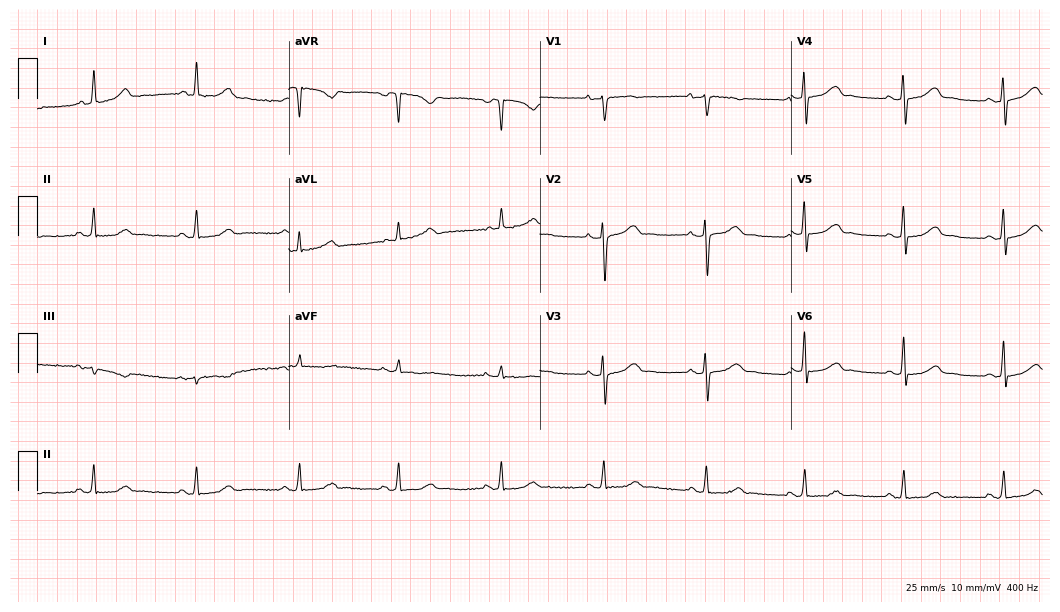
12-lead ECG from a woman, 48 years old (10.2-second recording at 400 Hz). Recorded interpretation: within normal limits.